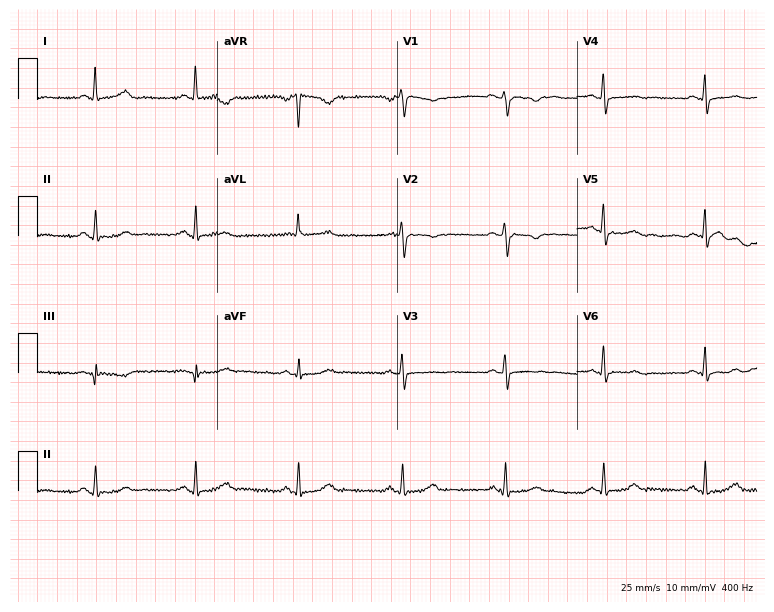
ECG — a 54-year-old female. Screened for six findings — first-degree AV block, right bundle branch block (RBBB), left bundle branch block (LBBB), sinus bradycardia, atrial fibrillation (AF), sinus tachycardia — none is recorded.